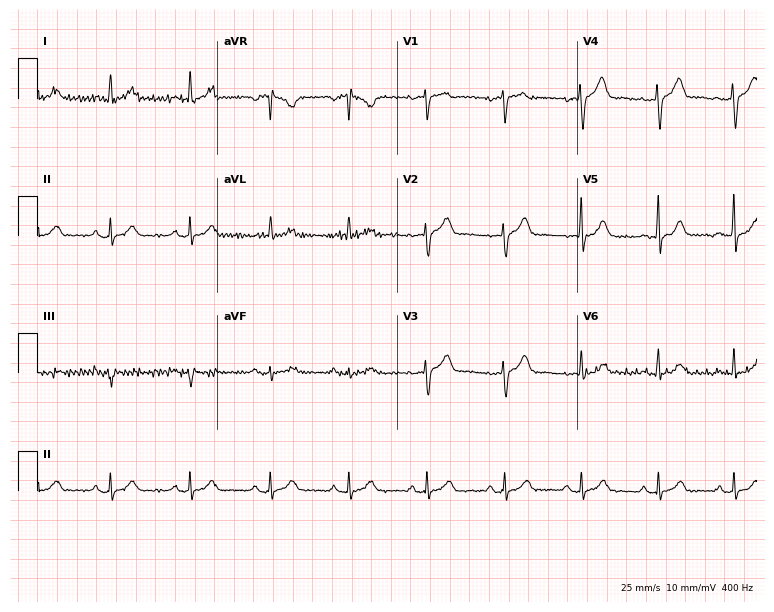
Resting 12-lead electrocardiogram (7.3-second recording at 400 Hz). Patient: a 52-year-old female. None of these six findings is recorded: first-degree AV block, right bundle branch block, left bundle branch block, sinus bradycardia, atrial fibrillation, sinus tachycardia. Only these six findings were labelled.